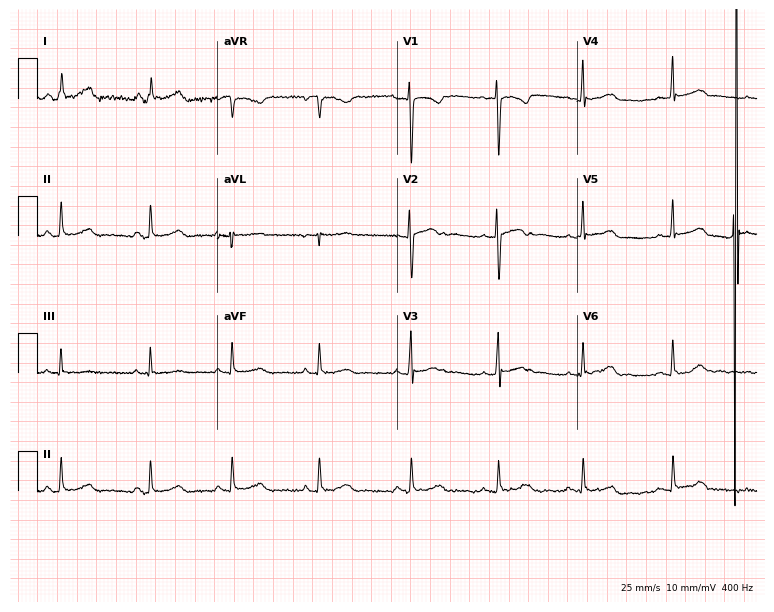
12-lead ECG from a 19-year-old woman. Labelled as a normal ECG.